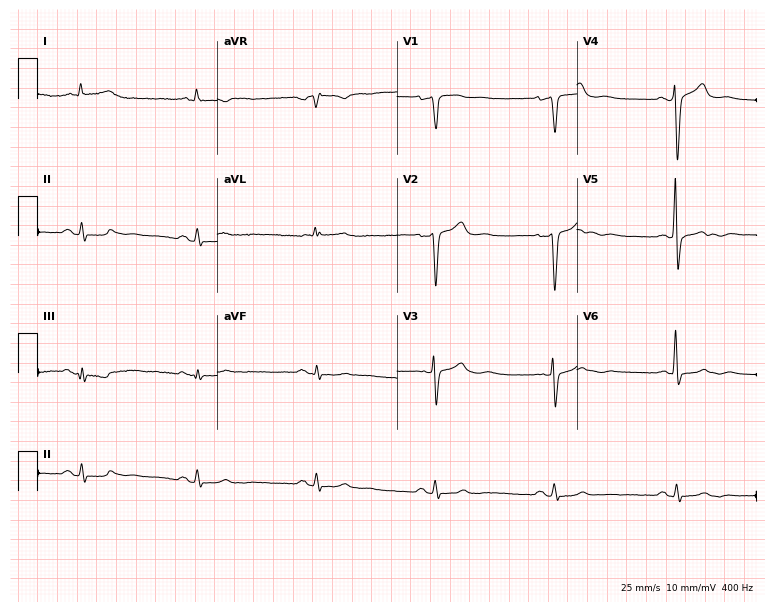
ECG — a 64-year-old man. Screened for six findings — first-degree AV block, right bundle branch block, left bundle branch block, sinus bradycardia, atrial fibrillation, sinus tachycardia — none is recorded.